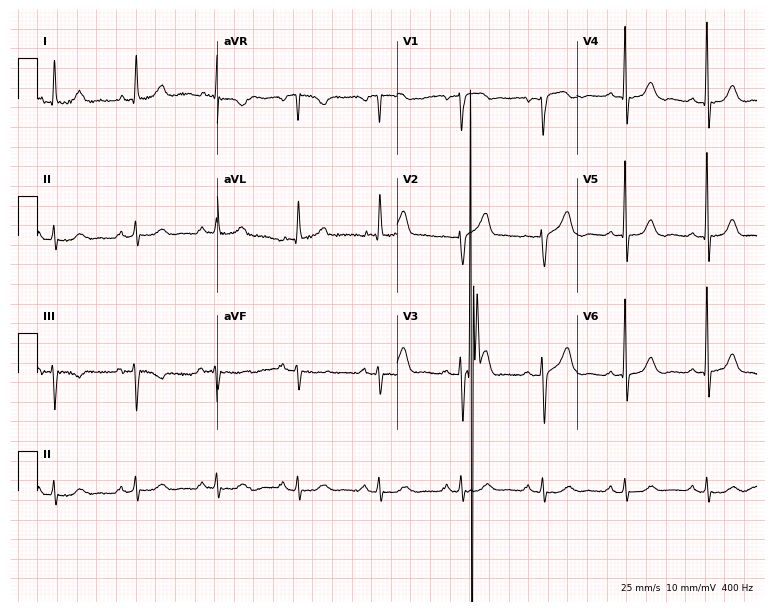
ECG — a 79-year-old man. Screened for six findings — first-degree AV block, right bundle branch block, left bundle branch block, sinus bradycardia, atrial fibrillation, sinus tachycardia — none is recorded. Findings outside these six are not listed.